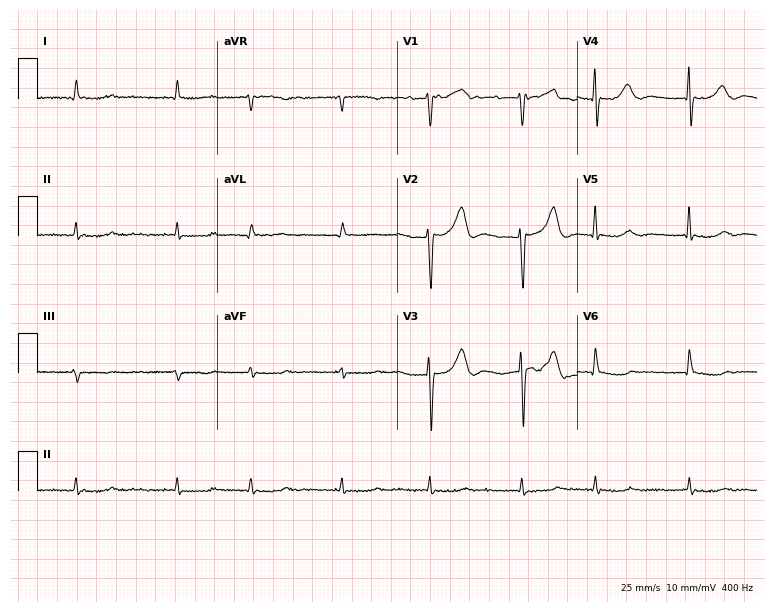
12-lead ECG from a male patient, 85 years old. Screened for six findings — first-degree AV block, right bundle branch block, left bundle branch block, sinus bradycardia, atrial fibrillation, sinus tachycardia — none is recorded. Findings outside these six are not listed.